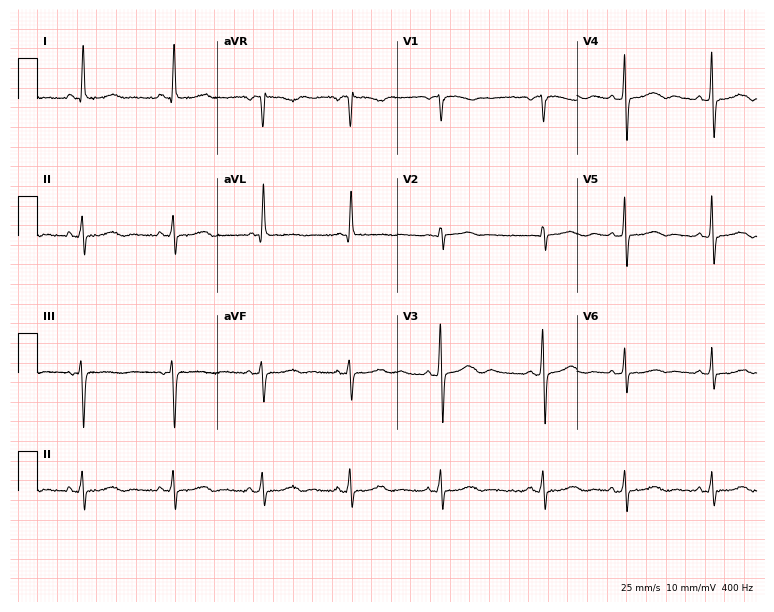
Standard 12-lead ECG recorded from a woman, 69 years old. None of these six findings is recorded: first-degree AV block, right bundle branch block (RBBB), left bundle branch block (LBBB), sinus bradycardia, atrial fibrillation (AF), sinus tachycardia.